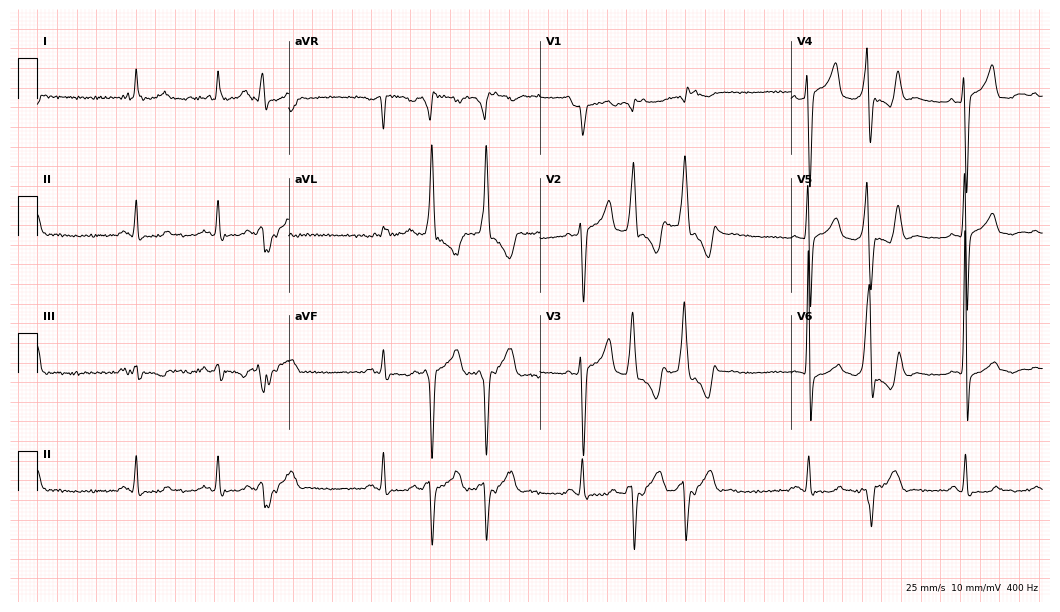
Electrocardiogram, an 84-year-old male patient. Of the six screened findings (first-degree AV block, right bundle branch block (RBBB), left bundle branch block (LBBB), sinus bradycardia, atrial fibrillation (AF), sinus tachycardia), none is recorded.